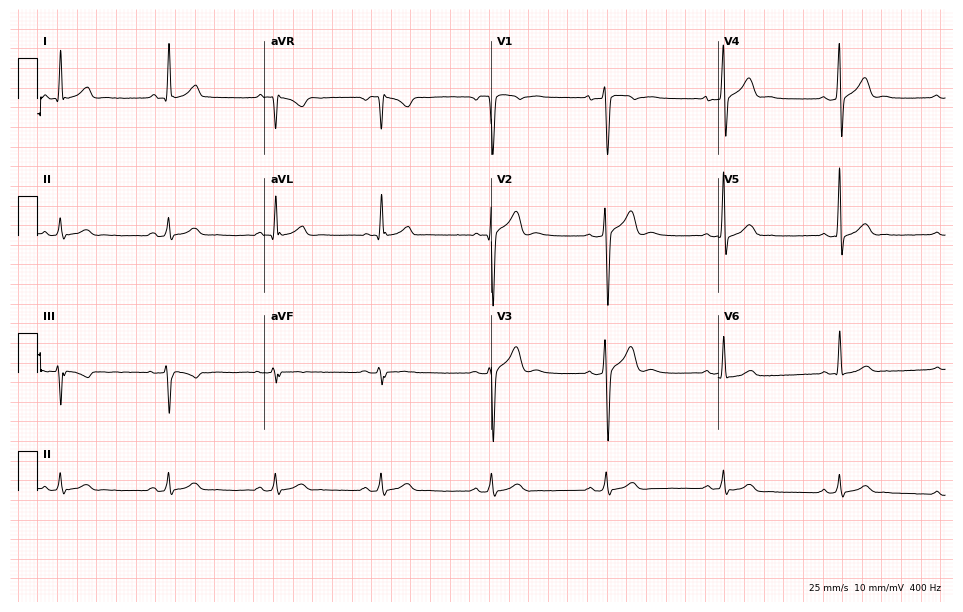
ECG (9.3-second recording at 400 Hz) — a man, 39 years old. Screened for six findings — first-degree AV block, right bundle branch block, left bundle branch block, sinus bradycardia, atrial fibrillation, sinus tachycardia — none is recorded.